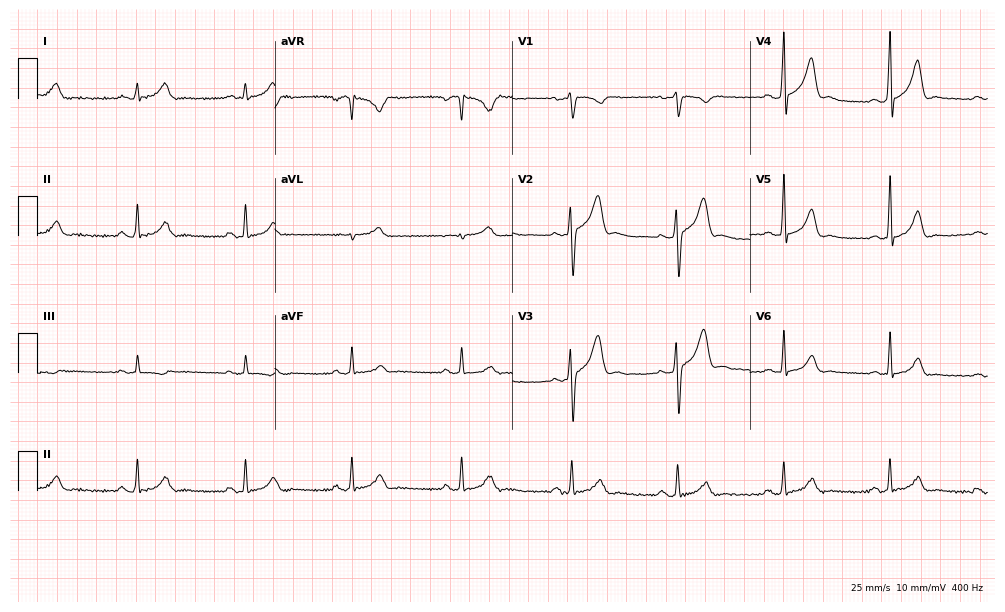
12-lead ECG (9.7-second recording at 400 Hz) from a male patient, 35 years old. Labelled as a normal ECG.